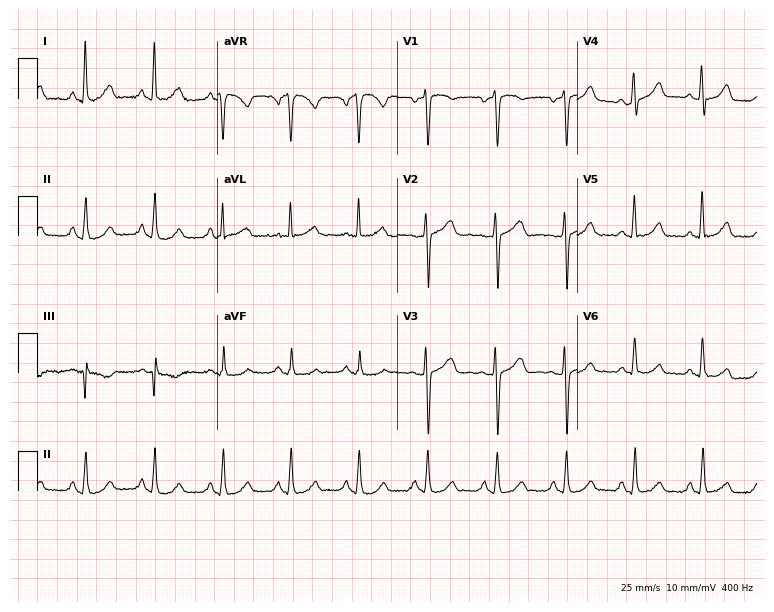
Electrocardiogram, a 68-year-old woman. Overall reading on record: normal ECG.